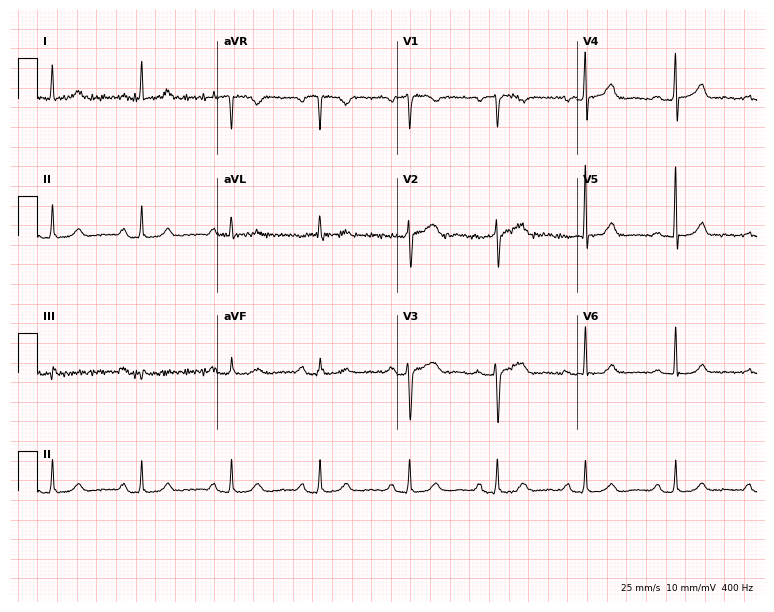
Resting 12-lead electrocardiogram (7.3-second recording at 400 Hz). Patient: a female, 59 years old. None of these six findings is recorded: first-degree AV block, right bundle branch block (RBBB), left bundle branch block (LBBB), sinus bradycardia, atrial fibrillation (AF), sinus tachycardia.